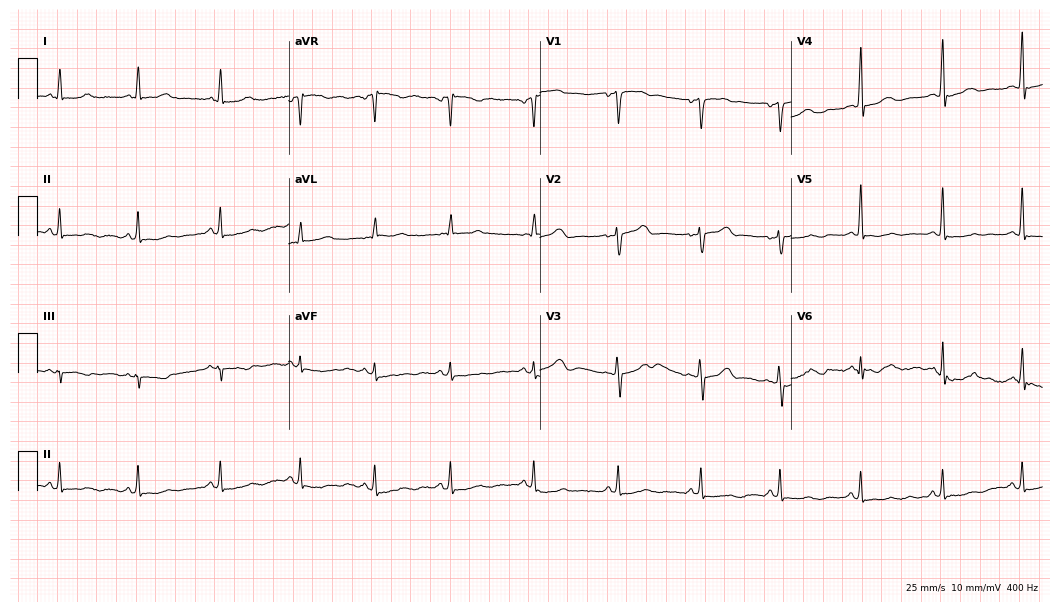
ECG — a 54-year-old female. Screened for six findings — first-degree AV block, right bundle branch block (RBBB), left bundle branch block (LBBB), sinus bradycardia, atrial fibrillation (AF), sinus tachycardia — none is recorded. Other findings, if any, are not listed.